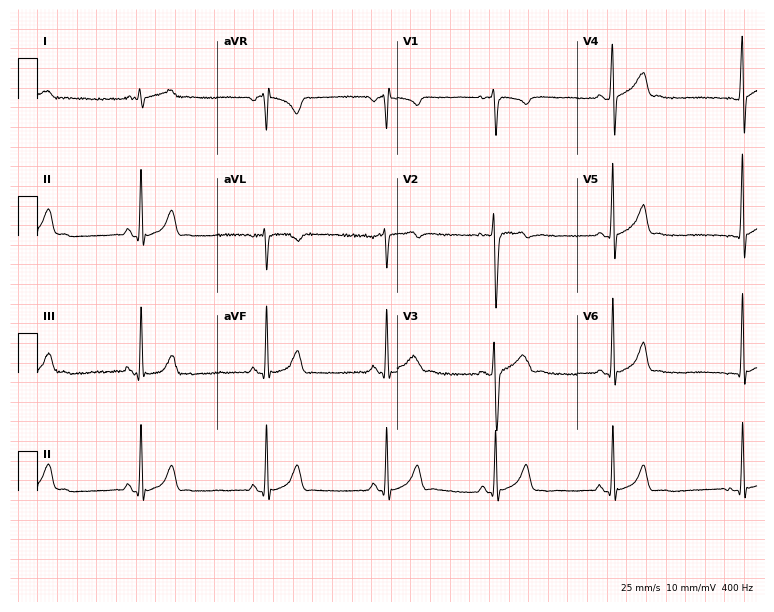
Resting 12-lead electrocardiogram. Patient: a male, 22 years old. The tracing shows sinus bradycardia (a sinus rate of 50 beats per minute or less).